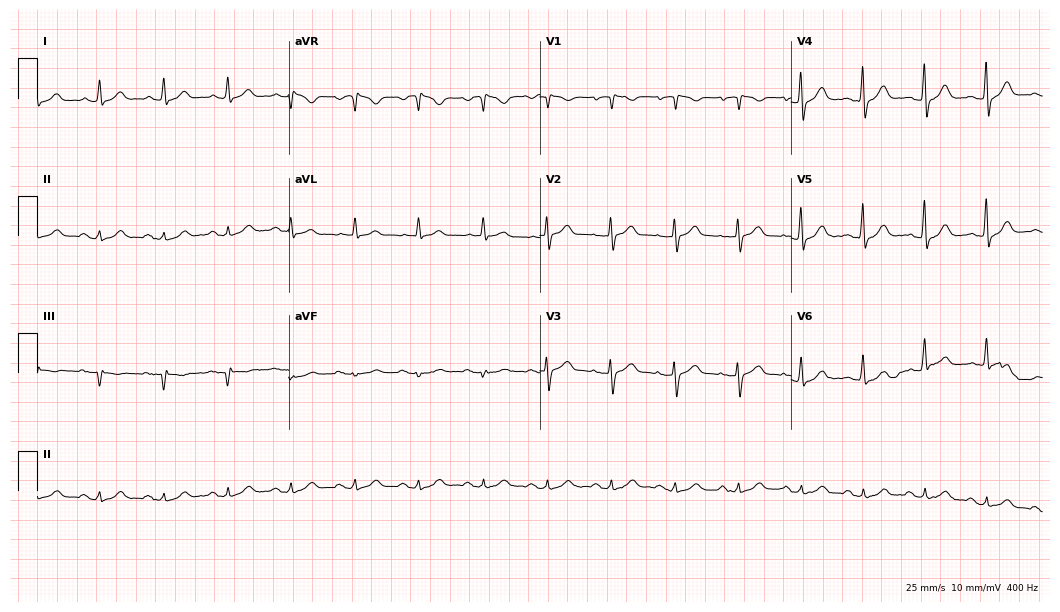
Standard 12-lead ECG recorded from a man, 84 years old. Read as a normal ECG.